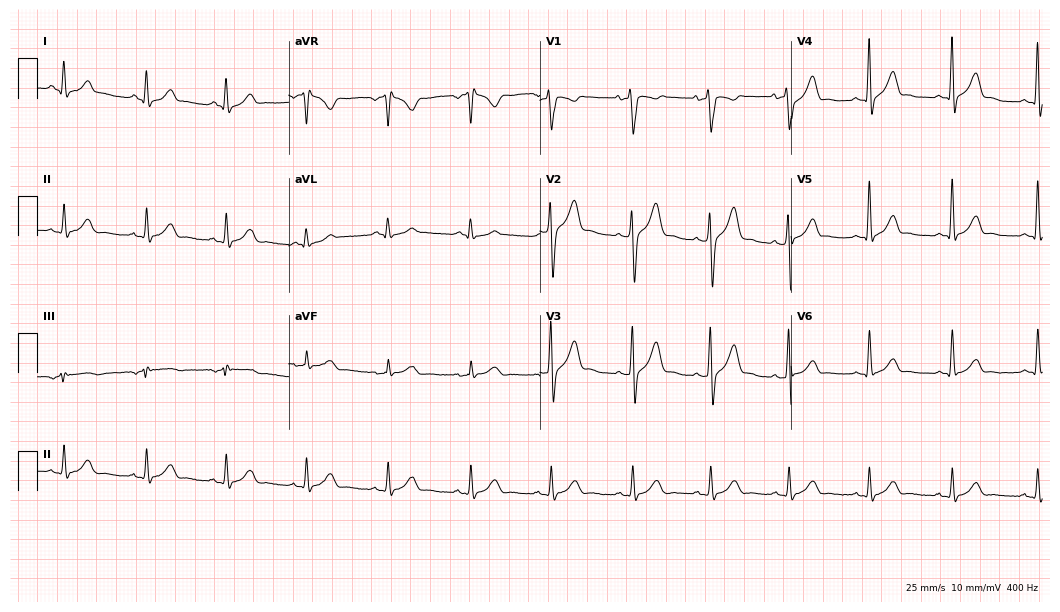
12-lead ECG from a 35-year-old man. Labelled as a normal ECG.